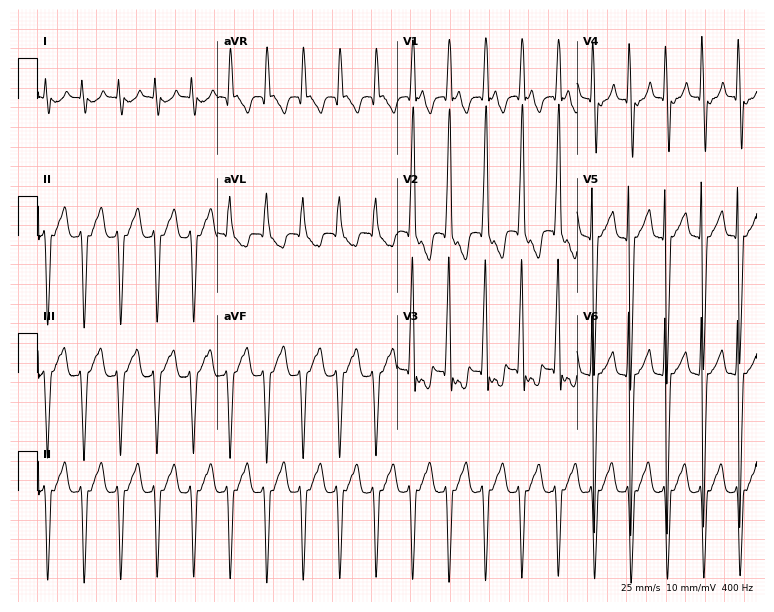
Standard 12-lead ECG recorded from a woman, 21 years old (7.3-second recording at 400 Hz). The tracing shows sinus tachycardia (a sinus rate of 100 beats per minute or more).